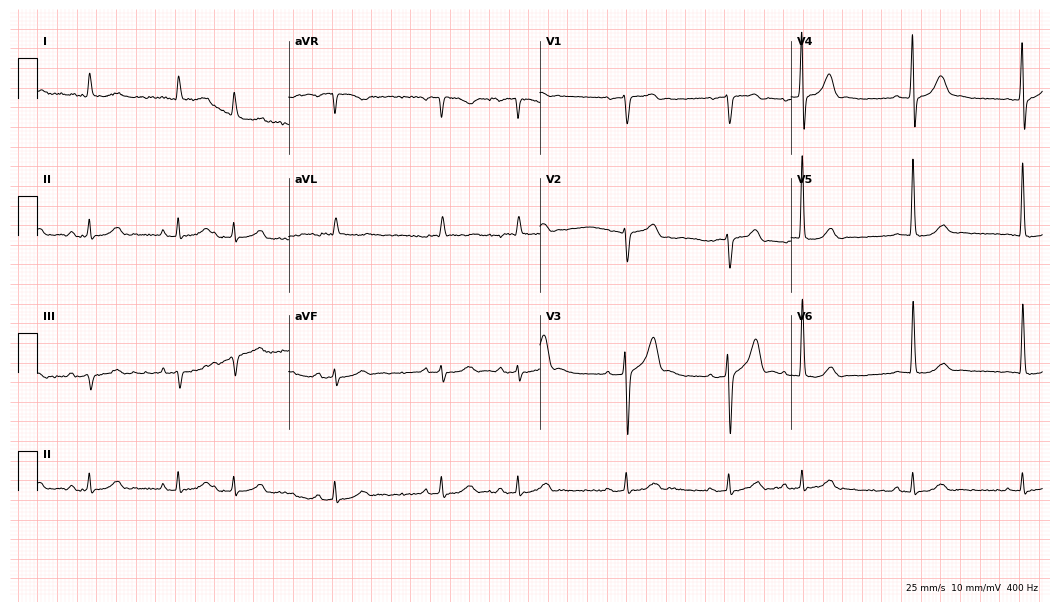
12-lead ECG (10.2-second recording at 400 Hz) from a 78-year-old male patient. Screened for six findings — first-degree AV block, right bundle branch block, left bundle branch block, sinus bradycardia, atrial fibrillation, sinus tachycardia — none is recorded.